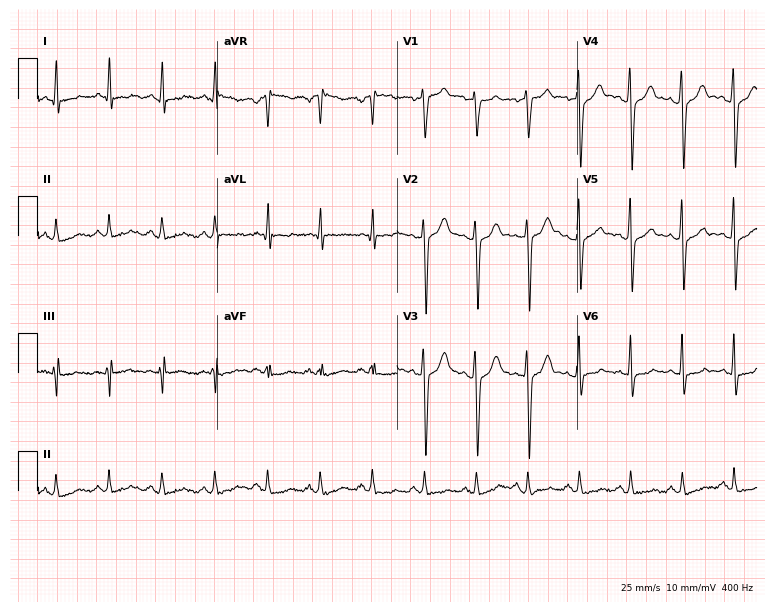
Standard 12-lead ECG recorded from a man, 42 years old (7.3-second recording at 400 Hz). The tracing shows sinus tachycardia (a sinus rate of 100 beats per minute or more).